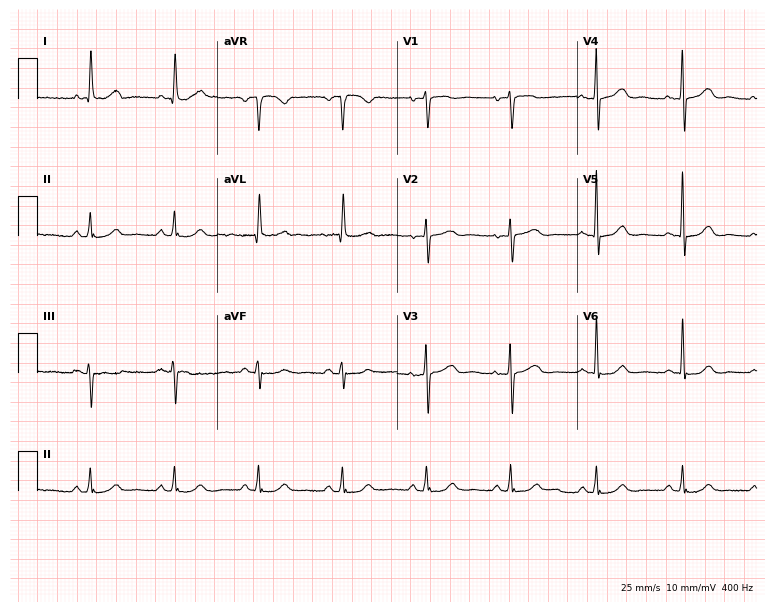
Standard 12-lead ECG recorded from a female, 82 years old (7.3-second recording at 400 Hz). Read as a normal ECG.